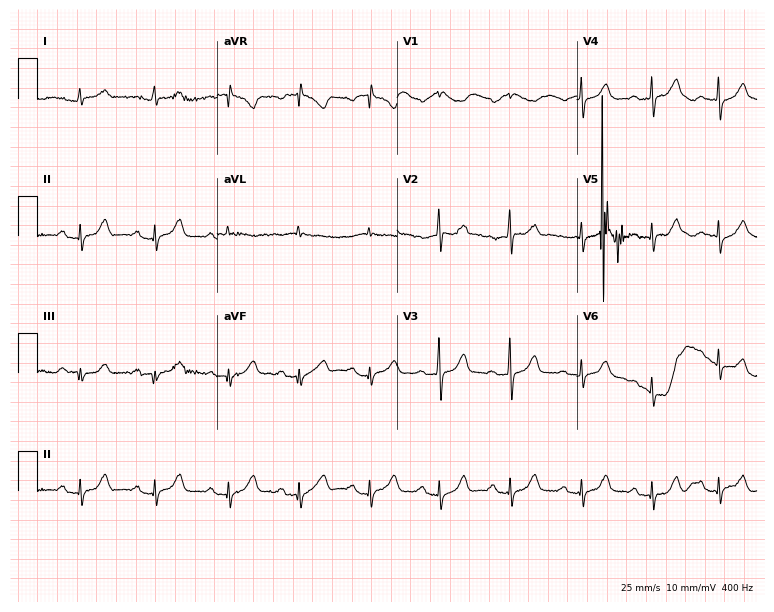
Electrocardiogram (7.3-second recording at 400 Hz), a female, 65 years old. Overall reading on record: normal ECG.